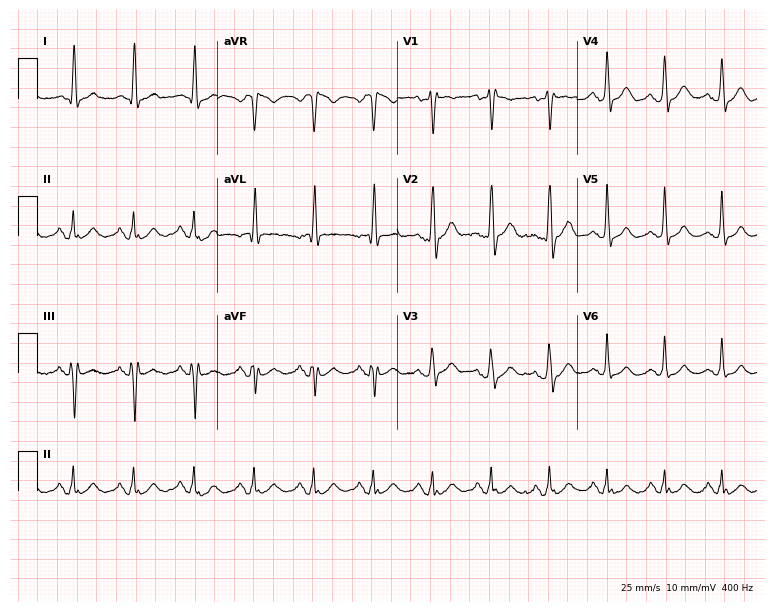
ECG — a man, 55 years old. Screened for six findings — first-degree AV block, right bundle branch block, left bundle branch block, sinus bradycardia, atrial fibrillation, sinus tachycardia — none is recorded.